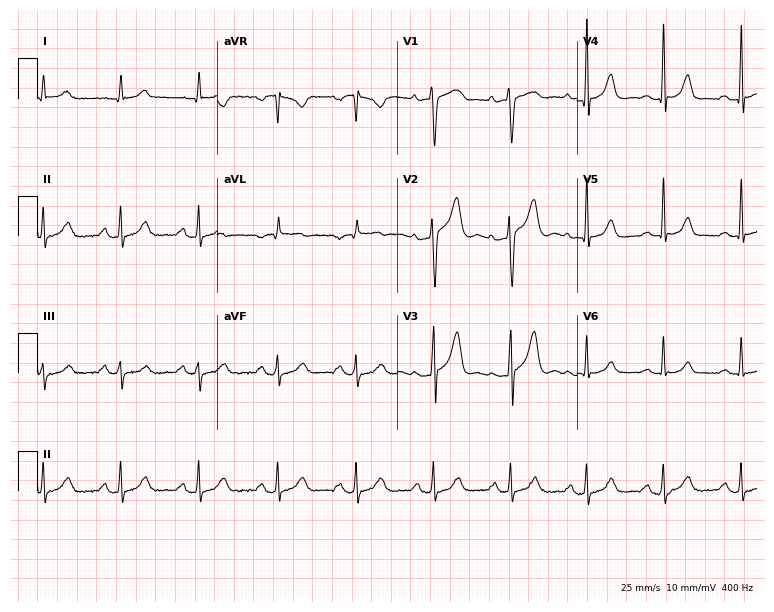
ECG — a male patient, 63 years old. Labelled as a normal ECG.